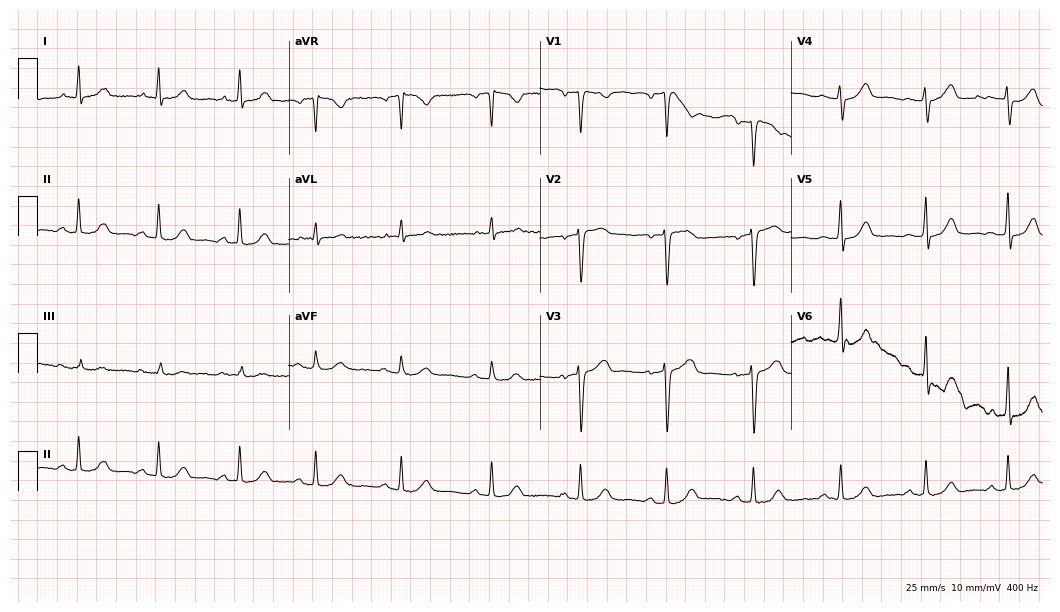
Electrocardiogram, a 36-year-old female patient. Overall reading on record: normal ECG.